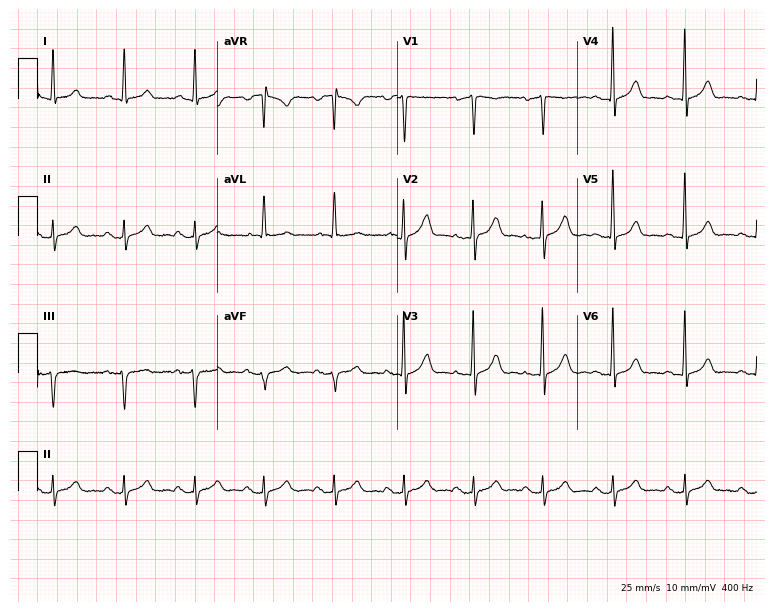
Standard 12-lead ECG recorded from a 61-year-old man. Read as a normal ECG.